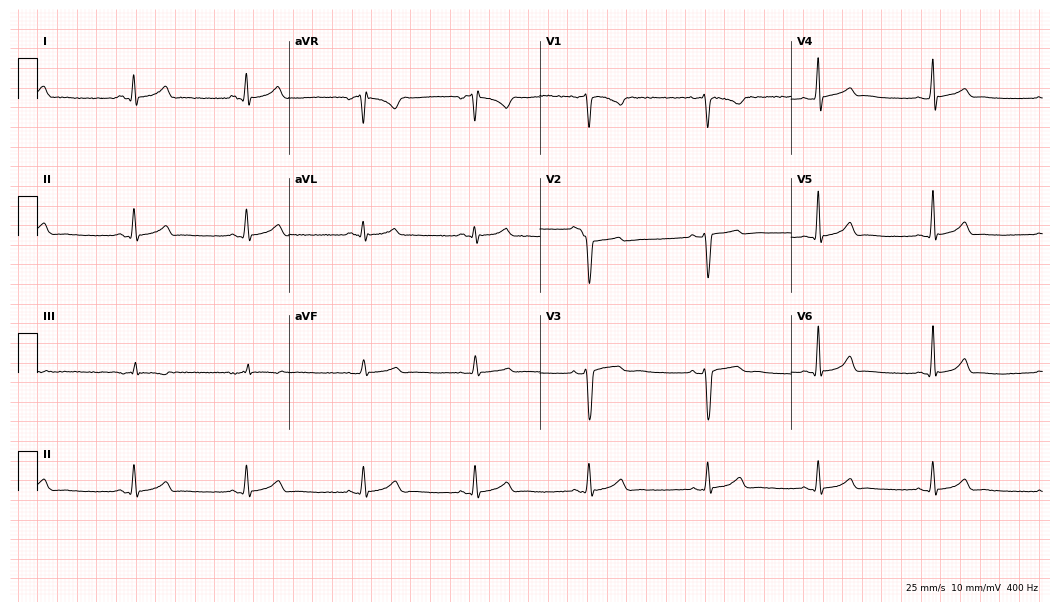
12-lead ECG (10.2-second recording at 400 Hz) from a man, 21 years old. Labelled as a normal ECG.